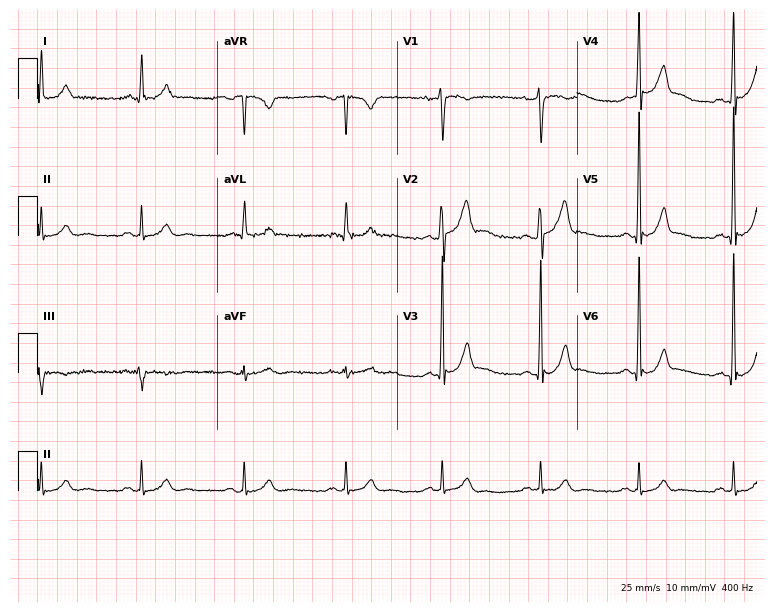
12-lead ECG from a 37-year-old man (7.3-second recording at 400 Hz). No first-degree AV block, right bundle branch block, left bundle branch block, sinus bradycardia, atrial fibrillation or sinus tachycardia recorded for this tracing.